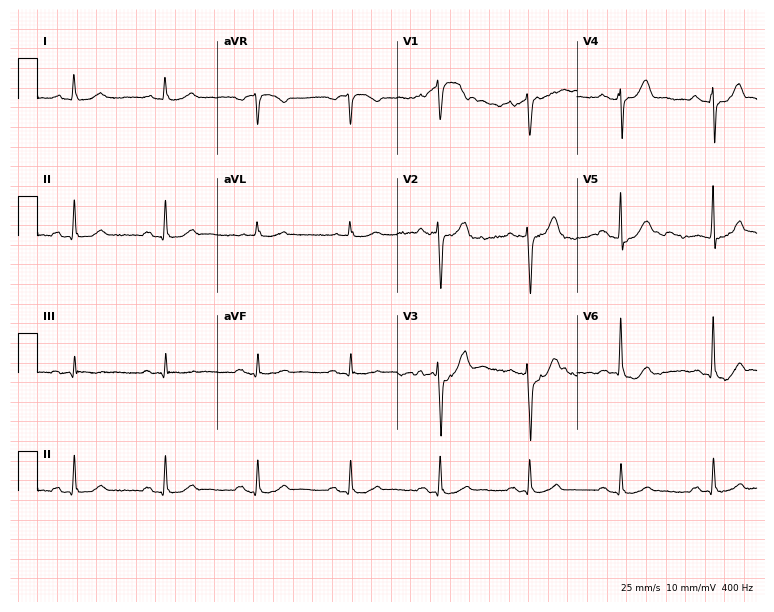
ECG (7.3-second recording at 400 Hz) — a 76-year-old male. Labelled as a normal ECG.